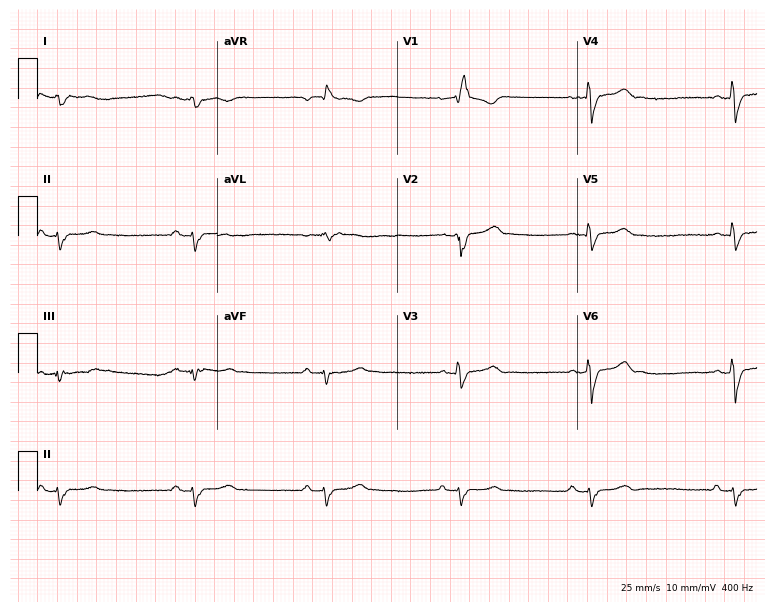
Standard 12-lead ECG recorded from a 61-year-old male. The tracing shows first-degree AV block, right bundle branch block (RBBB), sinus bradycardia (a sinus rate of 50 beats per minute or less).